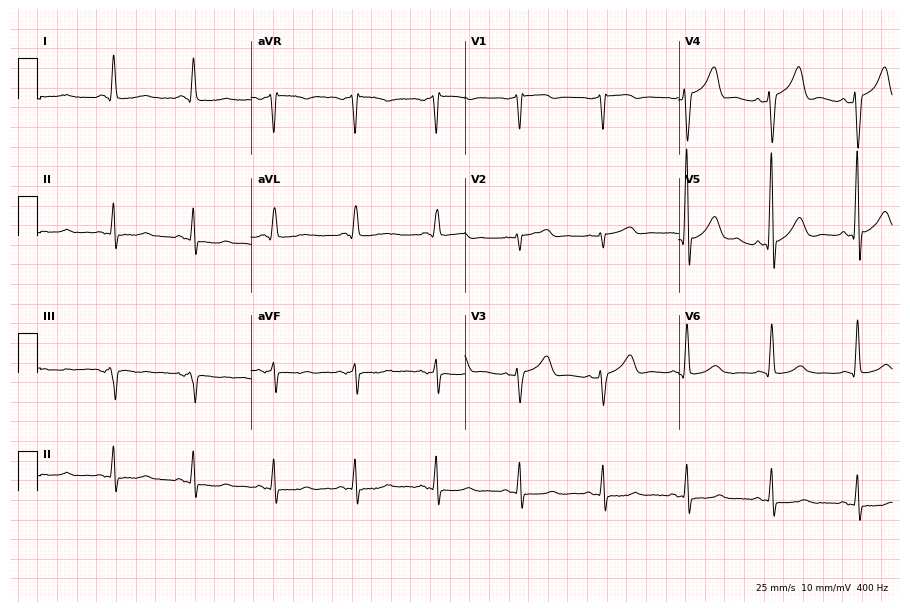
Electrocardiogram (8.7-second recording at 400 Hz), a woman, 75 years old. Of the six screened findings (first-degree AV block, right bundle branch block (RBBB), left bundle branch block (LBBB), sinus bradycardia, atrial fibrillation (AF), sinus tachycardia), none is recorded.